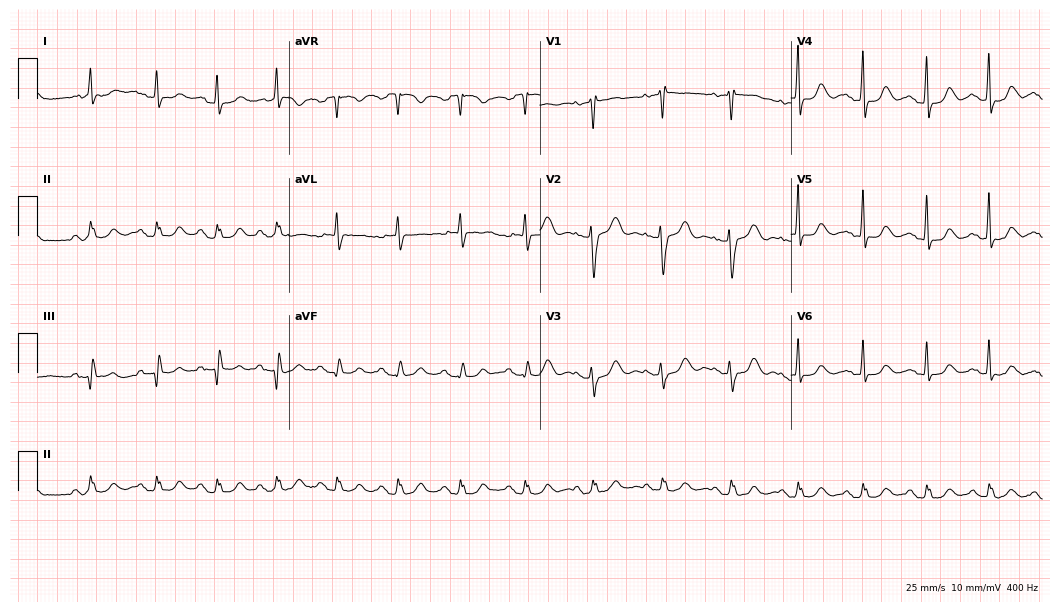
Standard 12-lead ECG recorded from a male patient, 79 years old (10.2-second recording at 400 Hz). Read as a normal ECG.